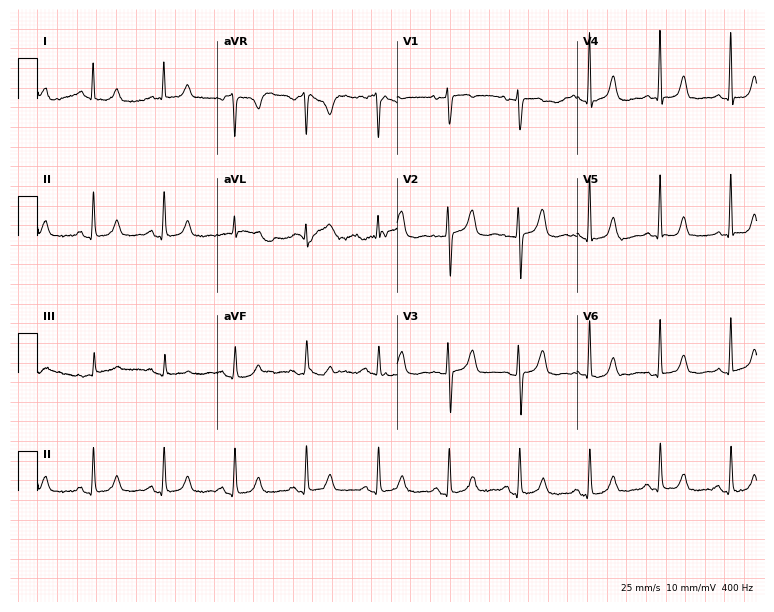
Electrocardiogram (7.3-second recording at 400 Hz), a 73-year-old female. Overall reading on record: normal ECG.